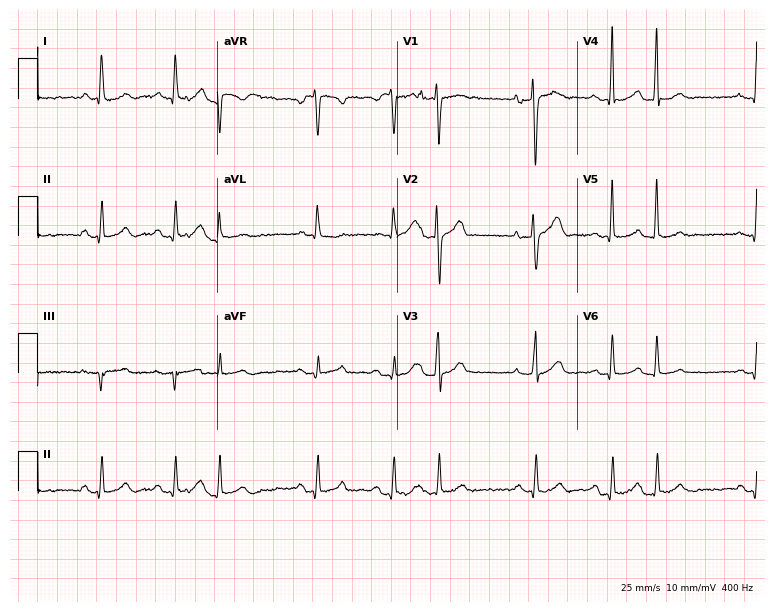
Electrocardiogram (7.3-second recording at 400 Hz), a 45-year-old woman. Overall reading on record: normal ECG.